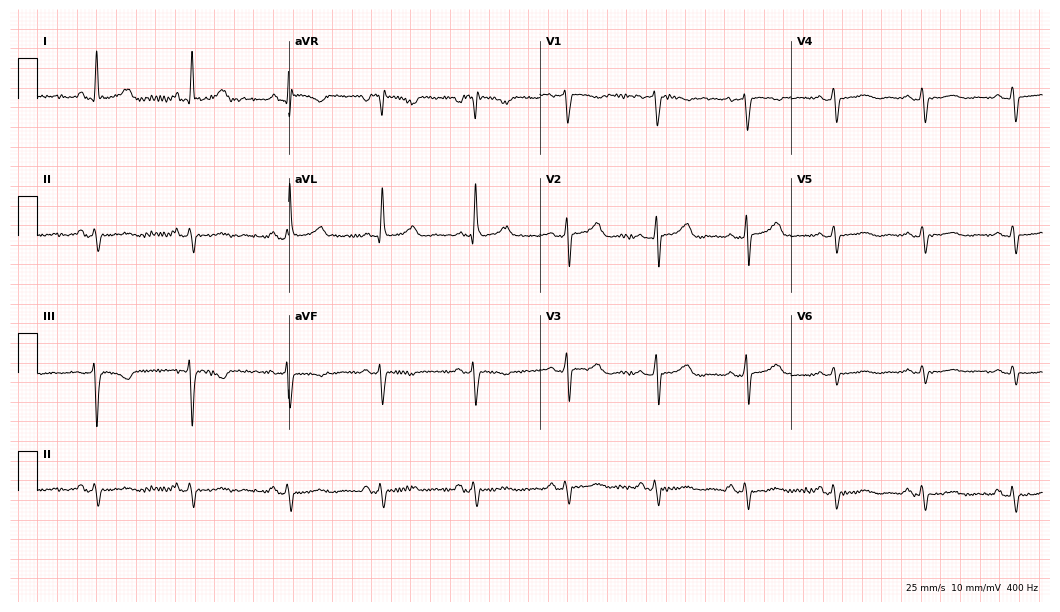
Electrocardiogram, a 67-year-old woman. Of the six screened findings (first-degree AV block, right bundle branch block (RBBB), left bundle branch block (LBBB), sinus bradycardia, atrial fibrillation (AF), sinus tachycardia), none is recorded. Only these six findings were labelled.